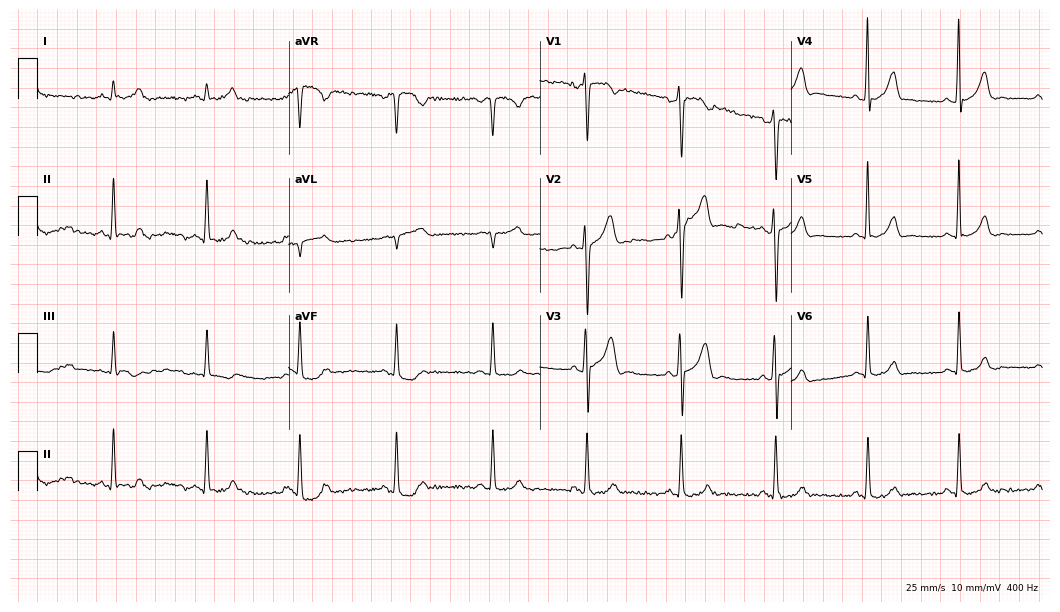
12-lead ECG (10.2-second recording at 400 Hz) from a 35-year-old male. Labelled as a normal ECG.